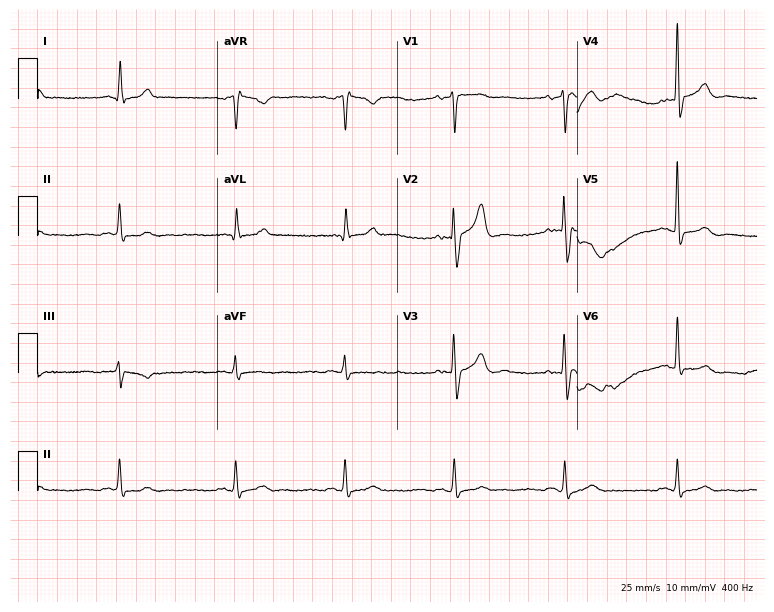
Resting 12-lead electrocardiogram. Patient: a male, 74 years old. None of these six findings is recorded: first-degree AV block, right bundle branch block, left bundle branch block, sinus bradycardia, atrial fibrillation, sinus tachycardia. Other findings, if any, are not listed.